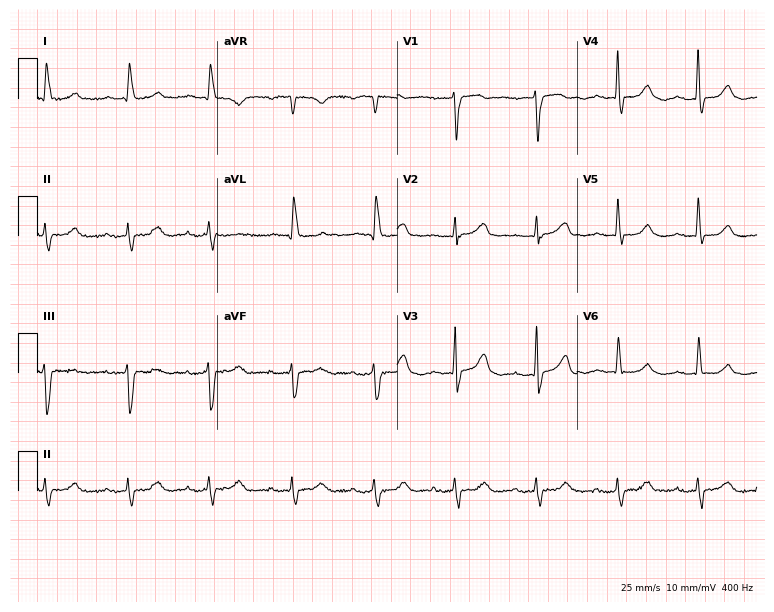
Resting 12-lead electrocardiogram. Patient: a female, 75 years old. None of these six findings is recorded: first-degree AV block, right bundle branch block (RBBB), left bundle branch block (LBBB), sinus bradycardia, atrial fibrillation (AF), sinus tachycardia.